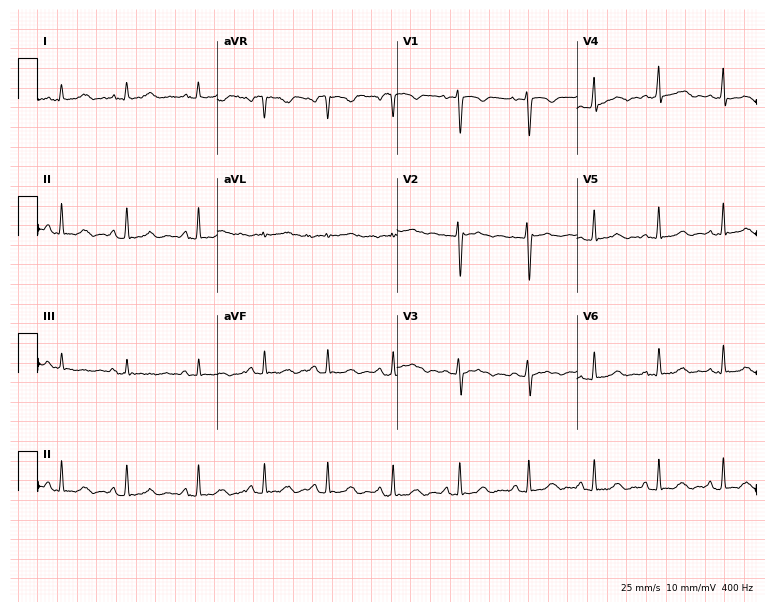
Resting 12-lead electrocardiogram. Patient: a female, 26 years old. None of these six findings is recorded: first-degree AV block, right bundle branch block, left bundle branch block, sinus bradycardia, atrial fibrillation, sinus tachycardia. Only these six findings were labelled.